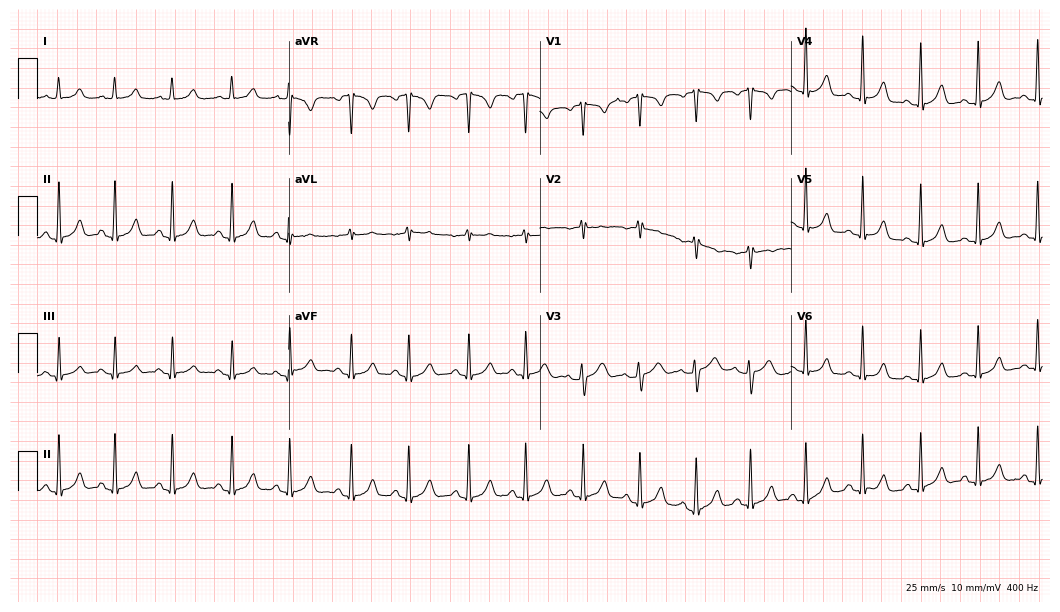
Resting 12-lead electrocardiogram. Patient: a 32-year-old female. The tracing shows sinus tachycardia (a sinus rate of 100 beats per minute or more).